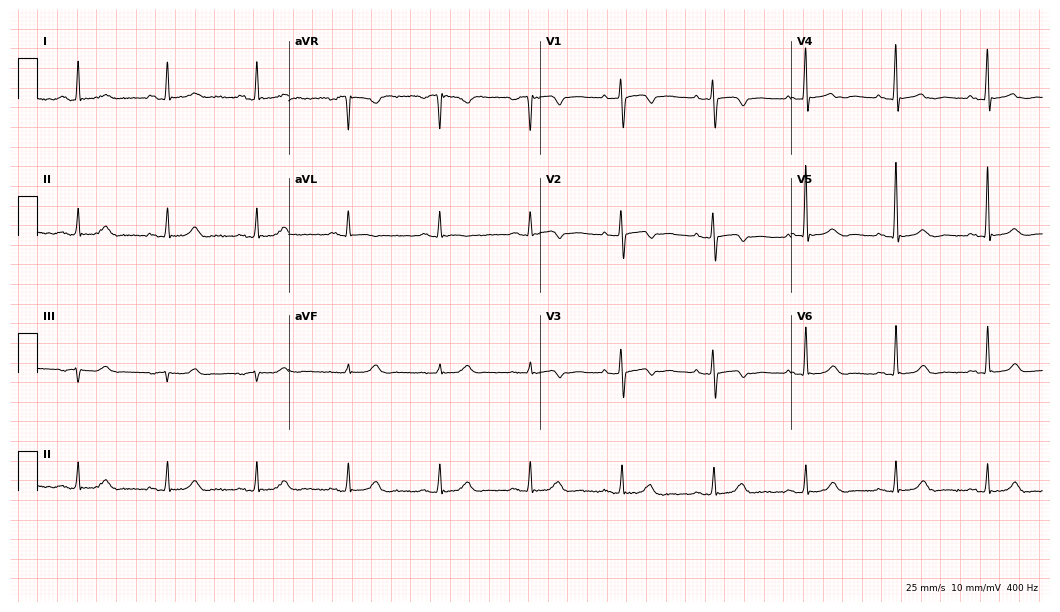
Standard 12-lead ECG recorded from a 68-year-old female patient (10.2-second recording at 400 Hz). None of these six findings is recorded: first-degree AV block, right bundle branch block, left bundle branch block, sinus bradycardia, atrial fibrillation, sinus tachycardia.